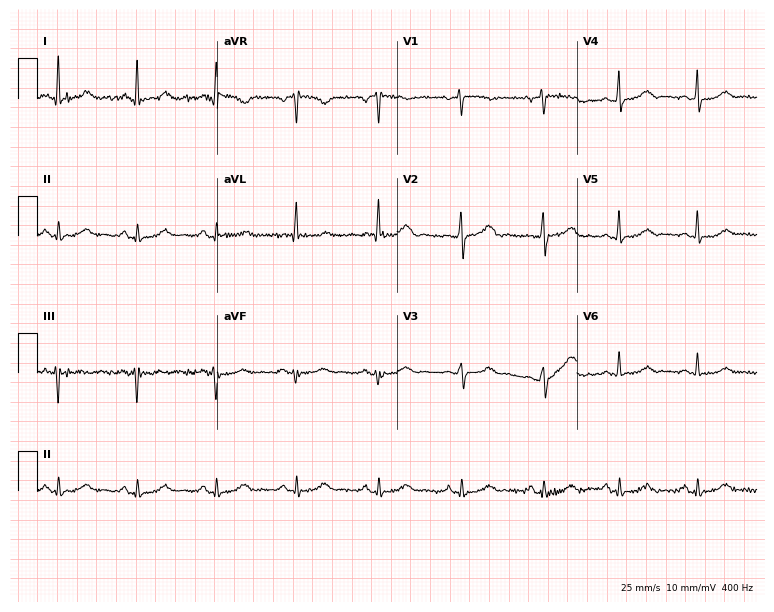
Standard 12-lead ECG recorded from a woman, 58 years old. Read as a normal ECG.